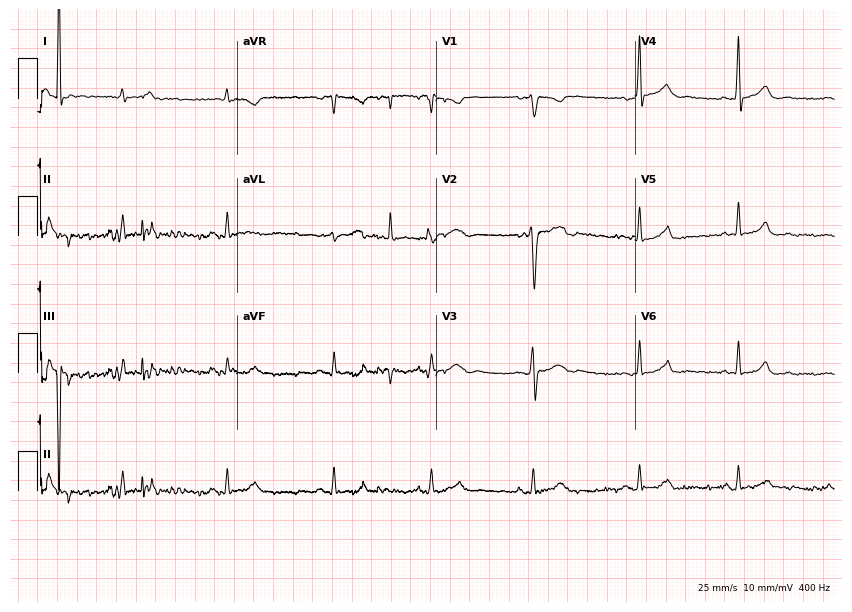
12-lead ECG from a 26-year-old man (8.1-second recording at 400 Hz). No first-degree AV block, right bundle branch block (RBBB), left bundle branch block (LBBB), sinus bradycardia, atrial fibrillation (AF) or sinus tachycardia recorded for this tracing.